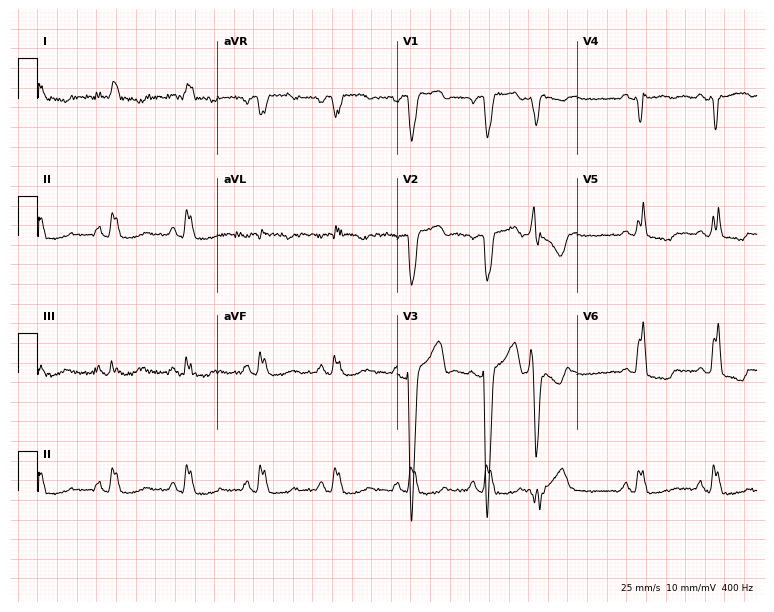
Standard 12-lead ECG recorded from a 73-year-old female patient. The tracing shows left bundle branch block.